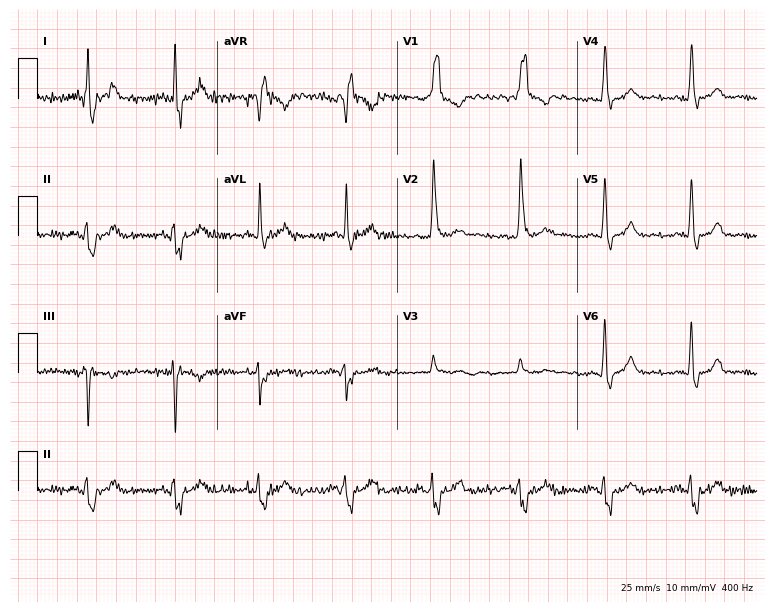
Standard 12-lead ECG recorded from a 59-year-old male patient. The tracing shows right bundle branch block.